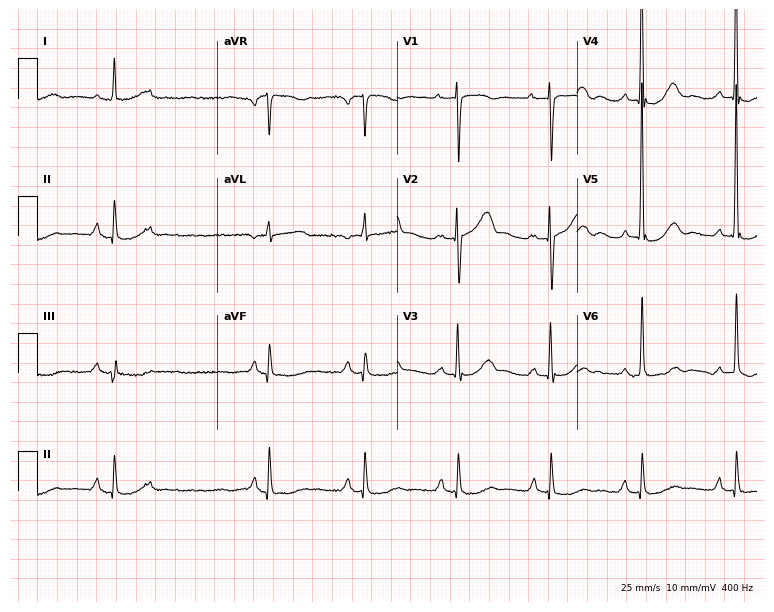
12-lead ECG from a woman, 82 years old. No first-degree AV block, right bundle branch block, left bundle branch block, sinus bradycardia, atrial fibrillation or sinus tachycardia recorded for this tracing.